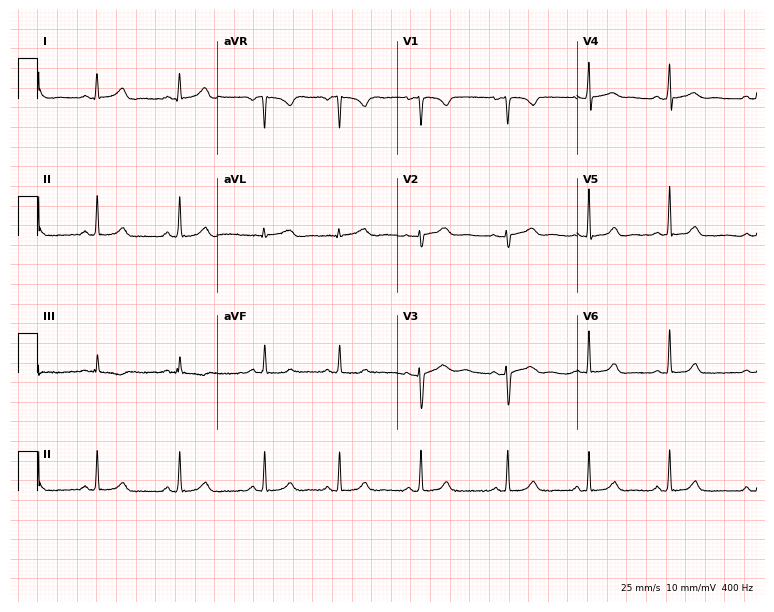
ECG (7.3-second recording at 400 Hz) — a 27-year-old woman. Labelled as a normal ECG.